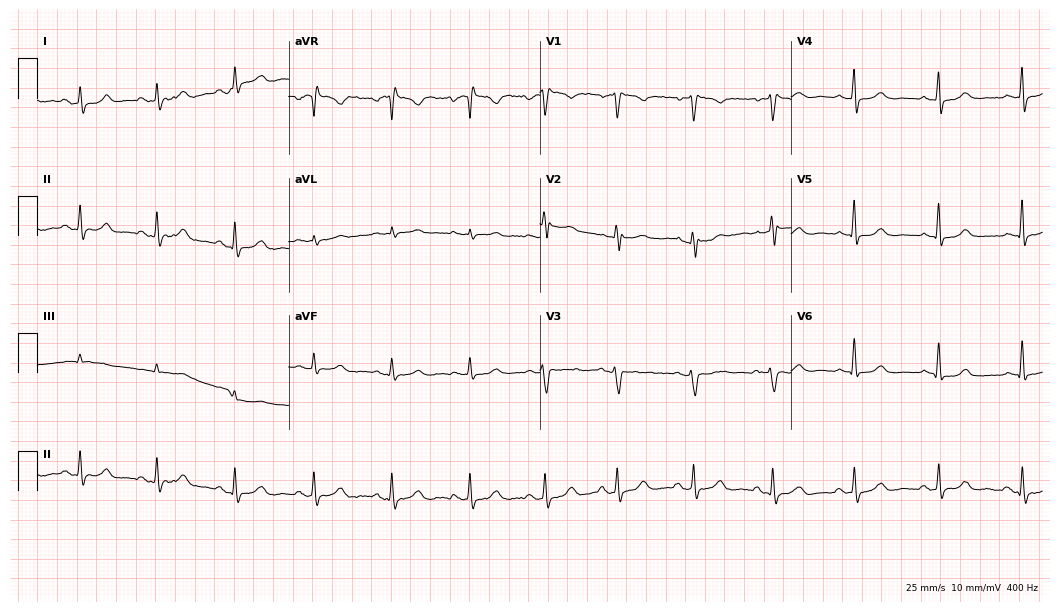
Electrocardiogram, a female patient, 50 years old. Of the six screened findings (first-degree AV block, right bundle branch block, left bundle branch block, sinus bradycardia, atrial fibrillation, sinus tachycardia), none is recorded. Only these six findings were labelled.